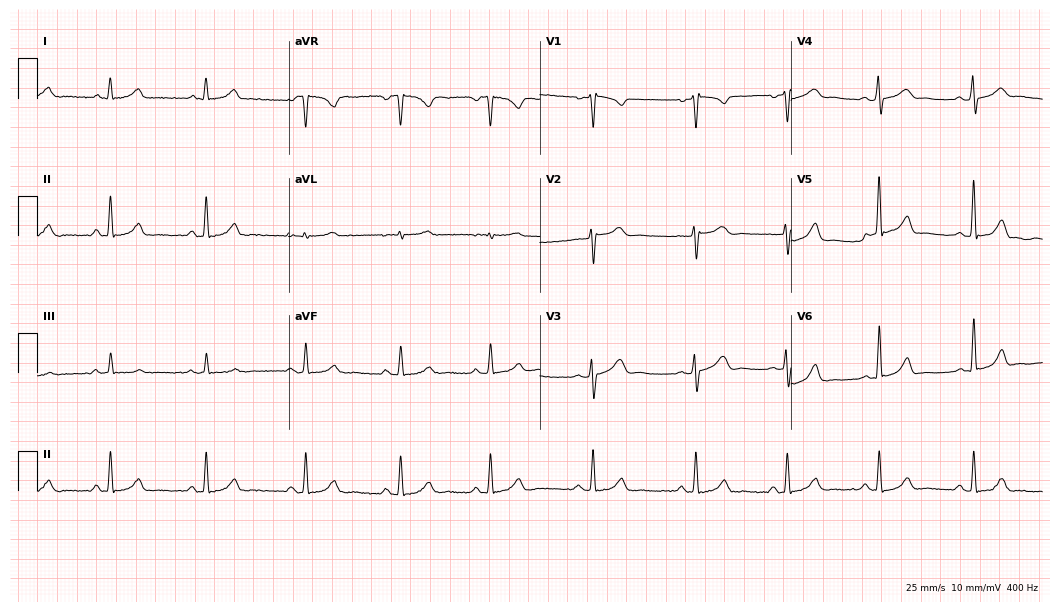
Resting 12-lead electrocardiogram. Patient: a 30-year-old woman. None of these six findings is recorded: first-degree AV block, right bundle branch block, left bundle branch block, sinus bradycardia, atrial fibrillation, sinus tachycardia. Only these six findings were labelled.